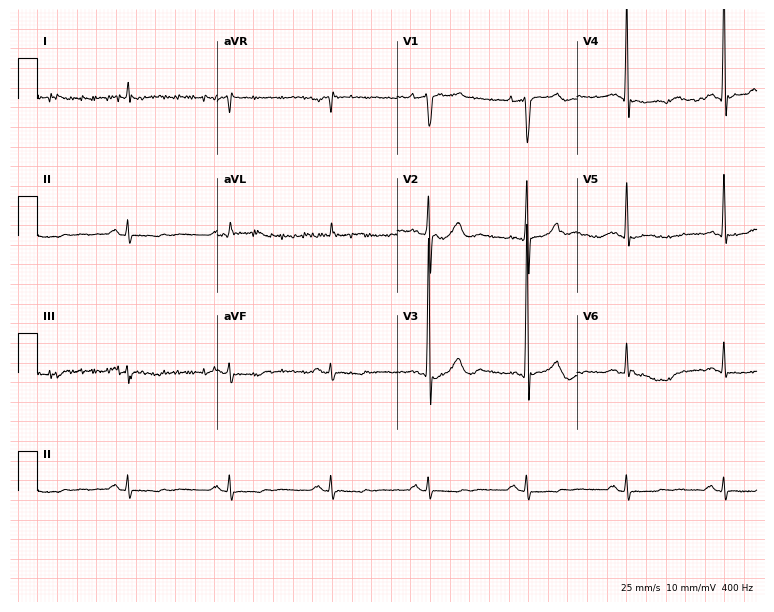
12-lead ECG from a man, 83 years old (7.3-second recording at 400 Hz). No first-degree AV block, right bundle branch block (RBBB), left bundle branch block (LBBB), sinus bradycardia, atrial fibrillation (AF) or sinus tachycardia recorded for this tracing.